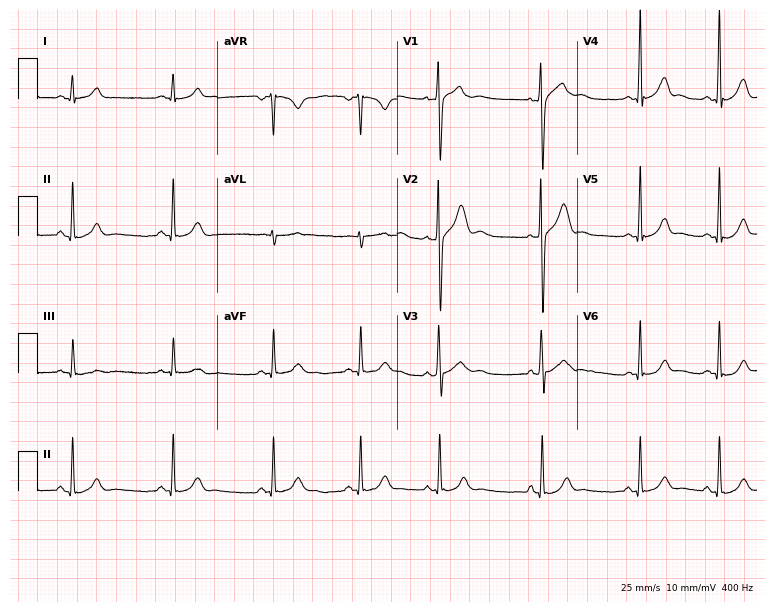
Electrocardiogram, a 17-year-old male patient. Overall reading on record: normal ECG.